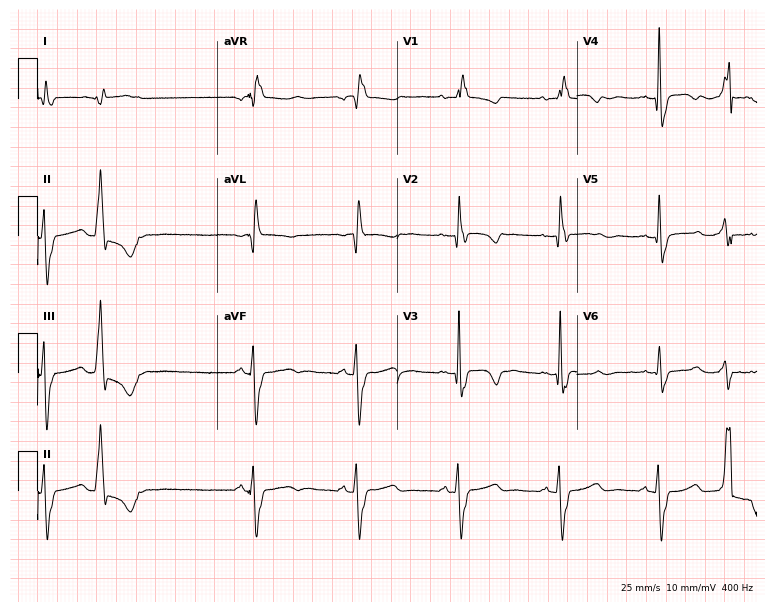
Electrocardiogram, a female patient, 45 years old. Interpretation includes right bundle branch block.